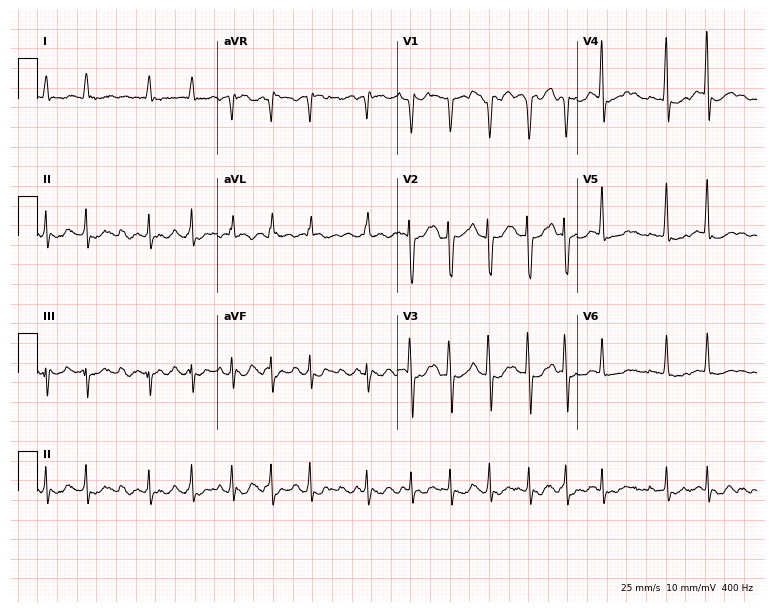
12-lead ECG from a man, 83 years old (7.3-second recording at 400 Hz). Shows atrial fibrillation (AF).